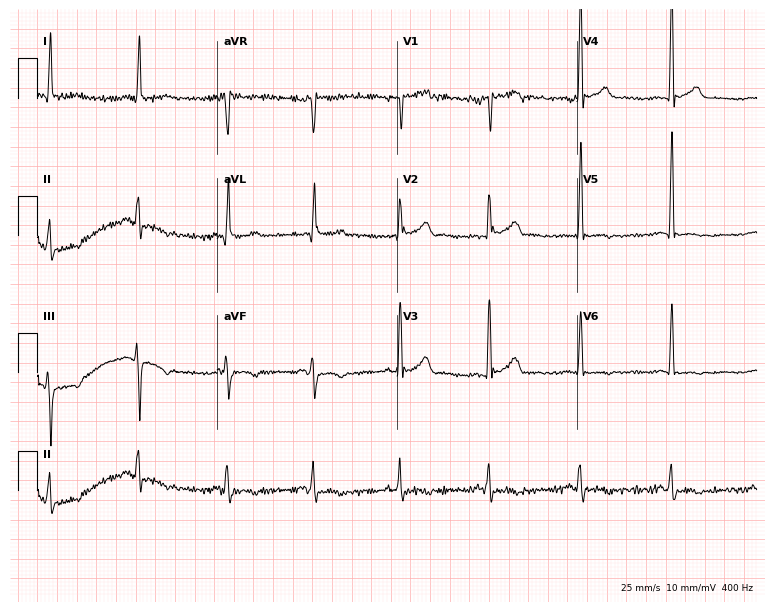
12-lead ECG from a man, 71 years old (7.3-second recording at 400 Hz). No first-degree AV block, right bundle branch block, left bundle branch block, sinus bradycardia, atrial fibrillation or sinus tachycardia recorded for this tracing. Only these six findings were labelled.